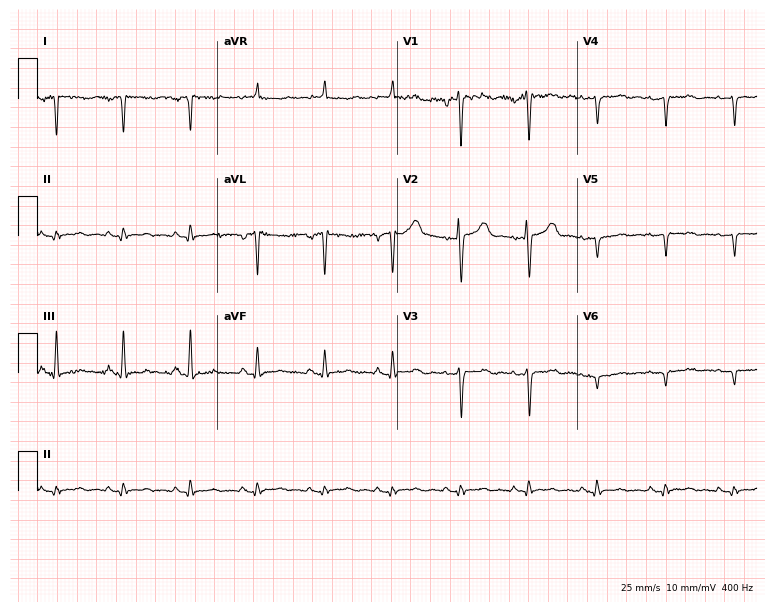
12-lead ECG (7.3-second recording at 400 Hz) from a female, 82 years old. Screened for six findings — first-degree AV block, right bundle branch block, left bundle branch block, sinus bradycardia, atrial fibrillation, sinus tachycardia — none is recorded. Other findings, if any, are not listed.